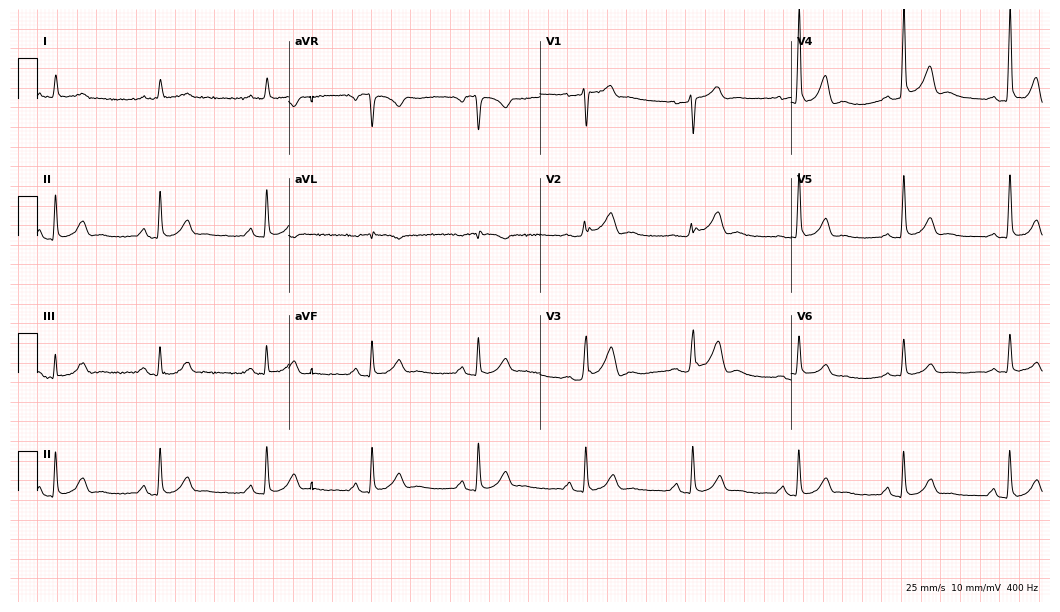
Standard 12-lead ECG recorded from a 59-year-old male patient. Read as a normal ECG.